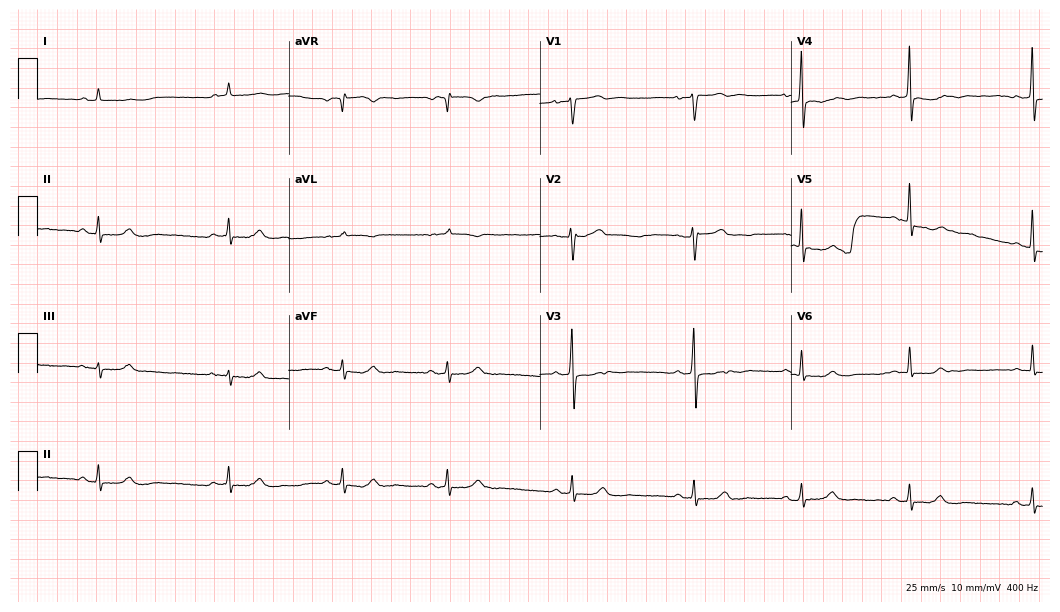
Resting 12-lead electrocardiogram (10.2-second recording at 400 Hz). Patient: a 42-year-old female. None of these six findings is recorded: first-degree AV block, right bundle branch block, left bundle branch block, sinus bradycardia, atrial fibrillation, sinus tachycardia.